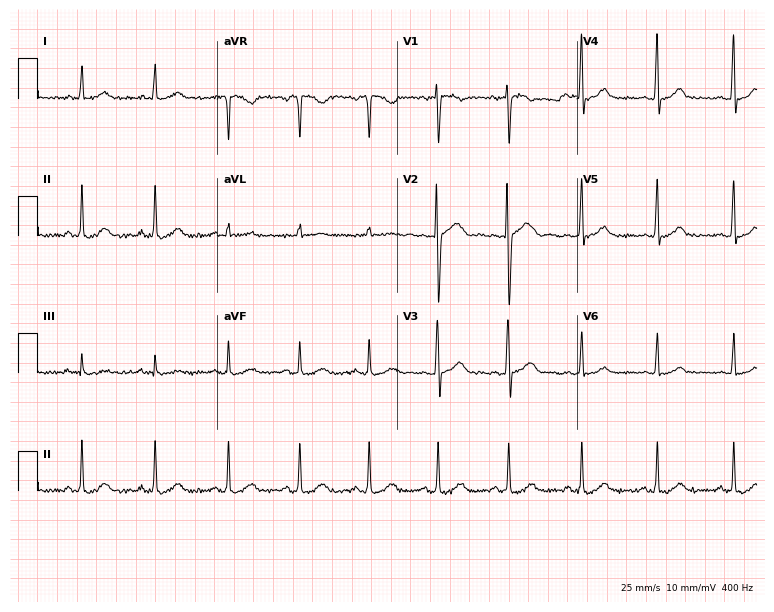
Standard 12-lead ECG recorded from a 43-year-old female patient (7.3-second recording at 400 Hz). Read as a normal ECG.